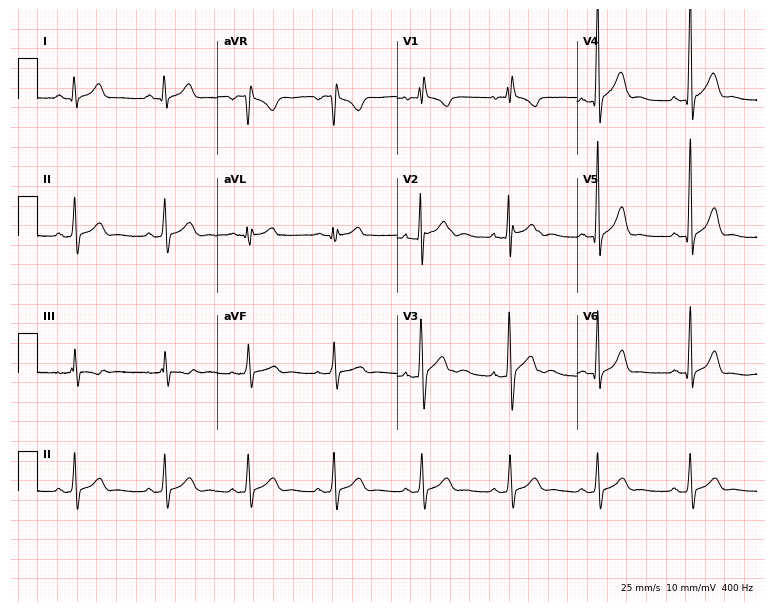
12-lead ECG (7.3-second recording at 400 Hz) from a man, 23 years old. Screened for six findings — first-degree AV block, right bundle branch block, left bundle branch block, sinus bradycardia, atrial fibrillation, sinus tachycardia — none is recorded. Other findings, if any, are not listed.